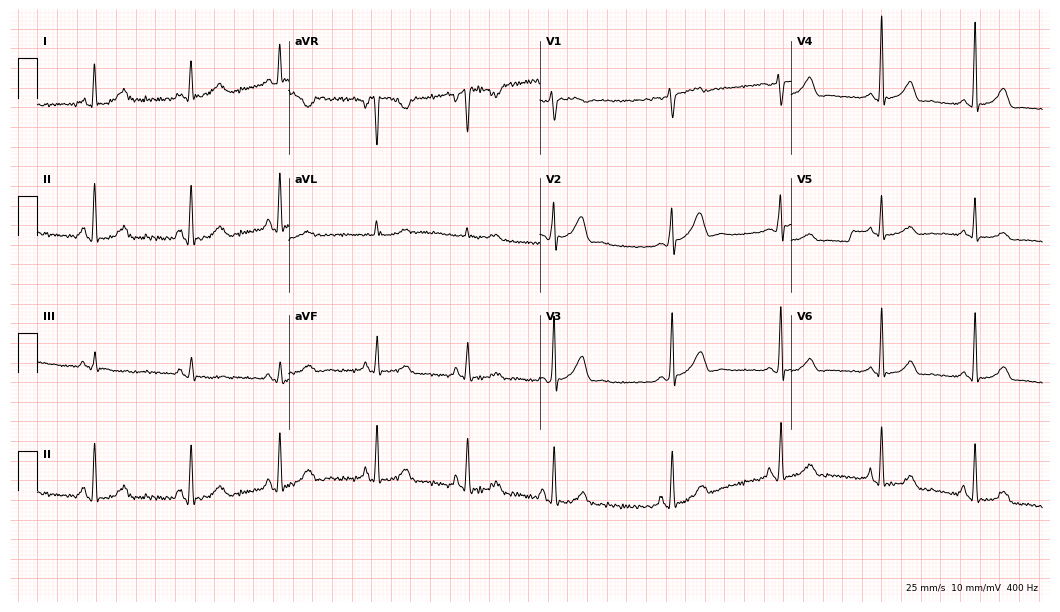
Standard 12-lead ECG recorded from a female patient, 30 years old. None of these six findings is recorded: first-degree AV block, right bundle branch block (RBBB), left bundle branch block (LBBB), sinus bradycardia, atrial fibrillation (AF), sinus tachycardia.